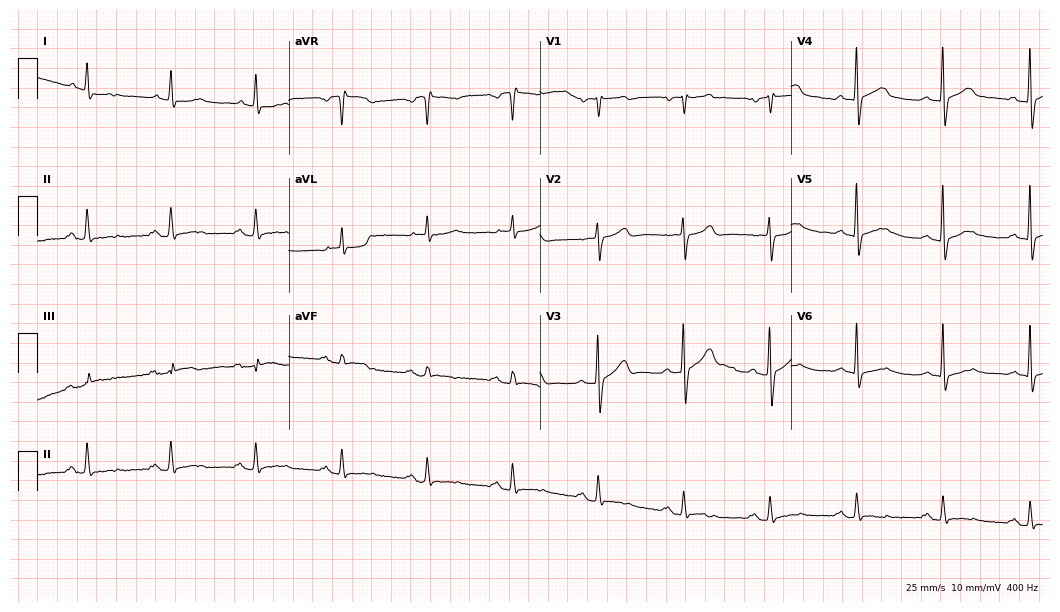
Standard 12-lead ECG recorded from a male, 86 years old (10.2-second recording at 400 Hz). None of these six findings is recorded: first-degree AV block, right bundle branch block (RBBB), left bundle branch block (LBBB), sinus bradycardia, atrial fibrillation (AF), sinus tachycardia.